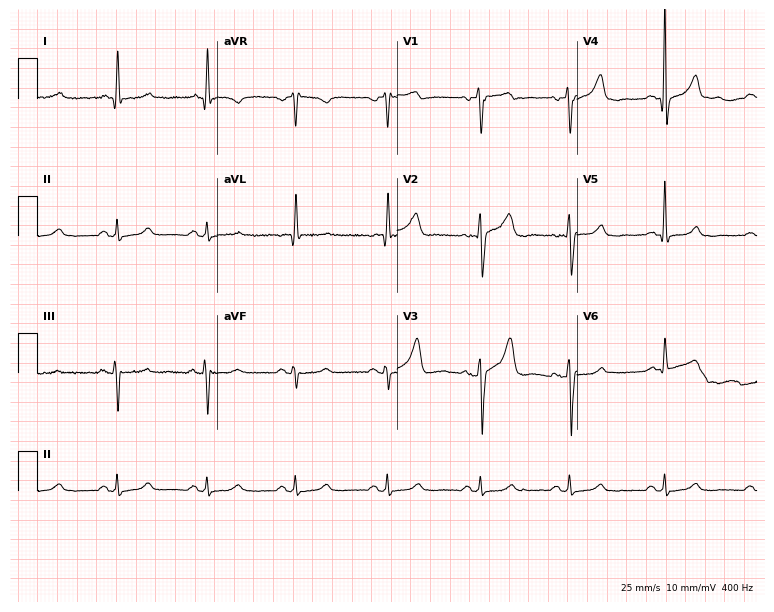
Resting 12-lead electrocardiogram. Patient: a 67-year-old male. Read as a normal ECG.